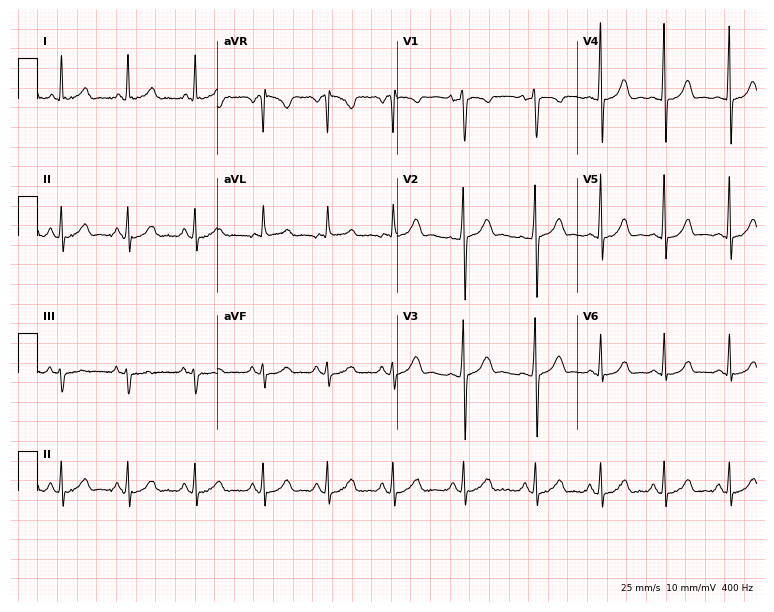
Resting 12-lead electrocardiogram. Patient: a 36-year-old female. Read as a normal ECG.